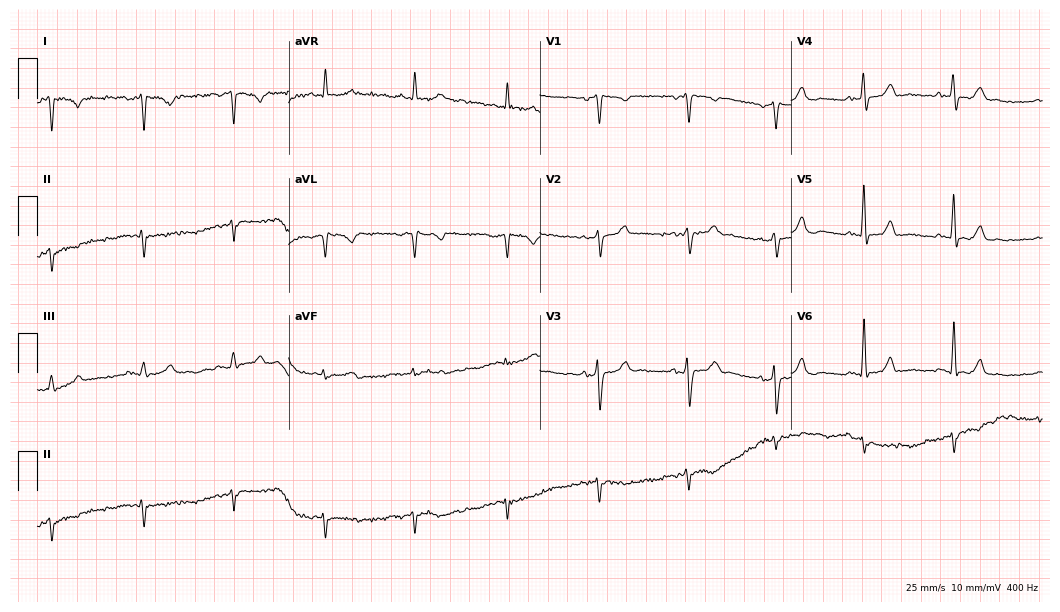
ECG (10.2-second recording at 400 Hz) — a male patient, 74 years old. Screened for six findings — first-degree AV block, right bundle branch block, left bundle branch block, sinus bradycardia, atrial fibrillation, sinus tachycardia — none is recorded. Other findings, if any, are not listed.